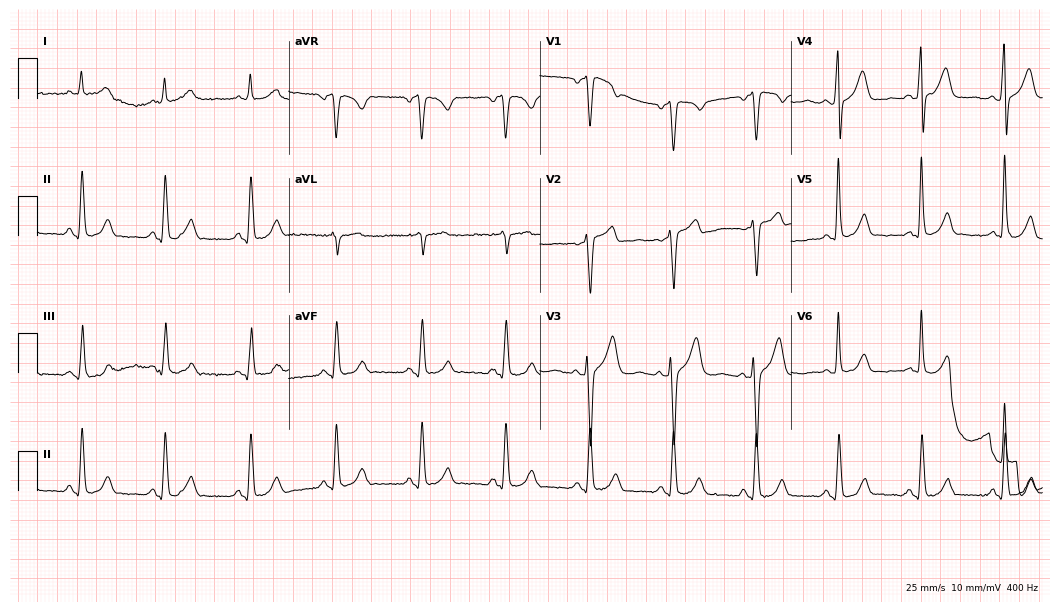
Standard 12-lead ECG recorded from a 65-year-old male. Read as a normal ECG.